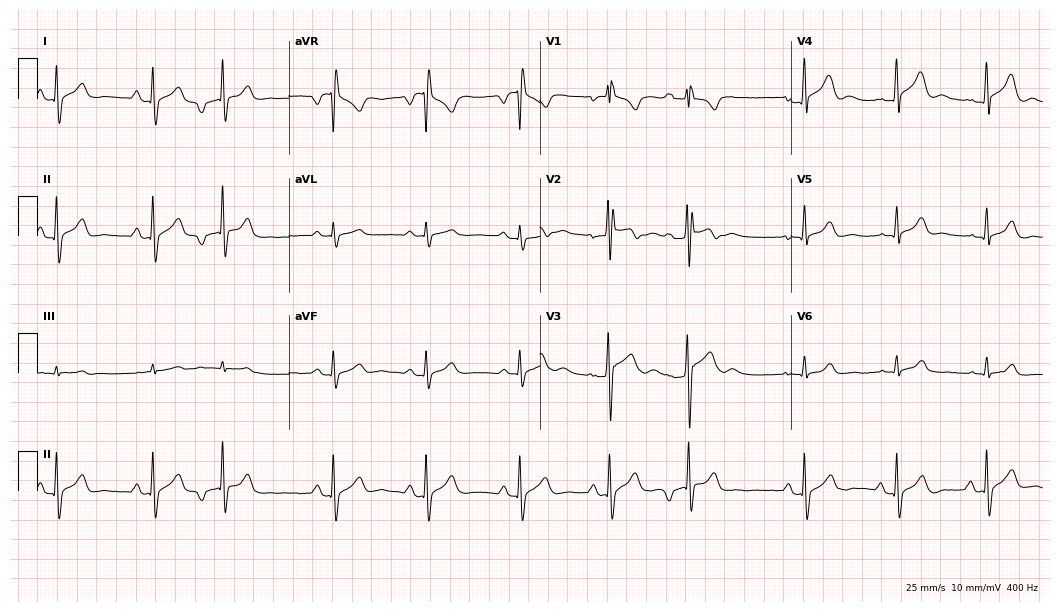
12-lead ECG from a 33-year-old male patient. Screened for six findings — first-degree AV block, right bundle branch block, left bundle branch block, sinus bradycardia, atrial fibrillation, sinus tachycardia — none is recorded.